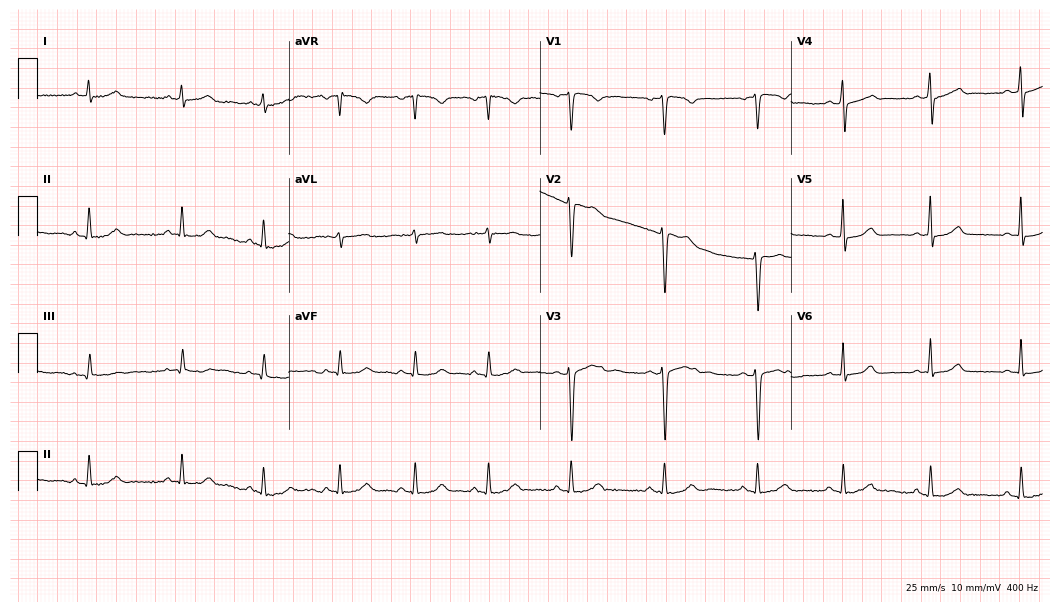
Standard 12-lead ECG recorded from a 32-year-old female. Read as a normal ECG.